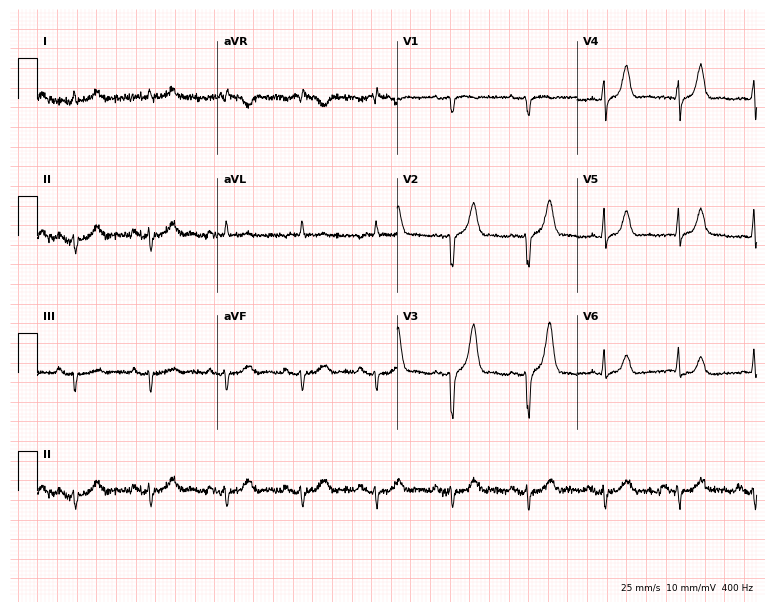
12-lead ECG from a 78-year-old man. No first-degree AV block, right bundle branch block (RBBB), left bundle branch block (LBBB), sinus bradycardia, atrial fibrillation (AF) or sinus tachycardia recorded for this tracing.